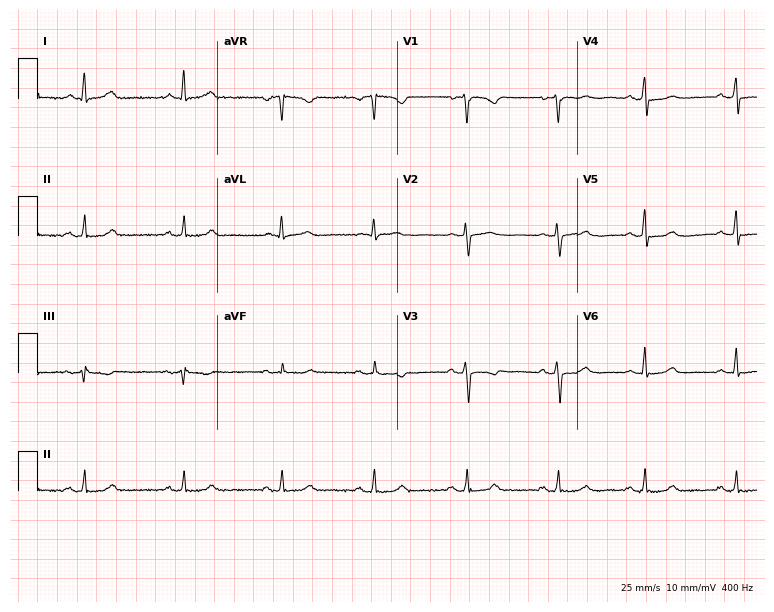
Resting 12-lead electrocardiogram (7.3-second recording at 400 Hz). Patient: a 52-year-old female. None of these six findings is recorded: first-degree AV block, right bundle branch block (RBBB), left bundle branch block (LBBB), sinus bradycardia, atrial fibrillation (AF), sinus tachycardia.